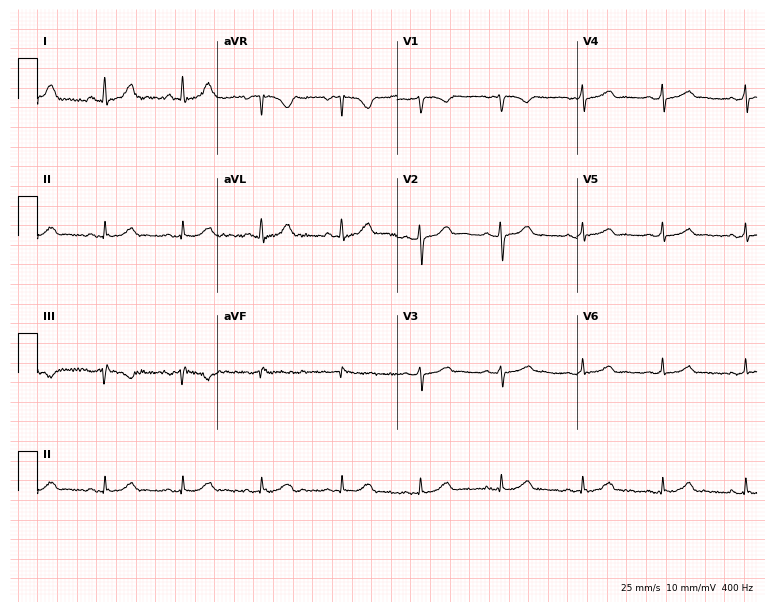
Resting 12-lead electrocardiogram. Patient: a 37-year-old female. Read as a normal ECG.